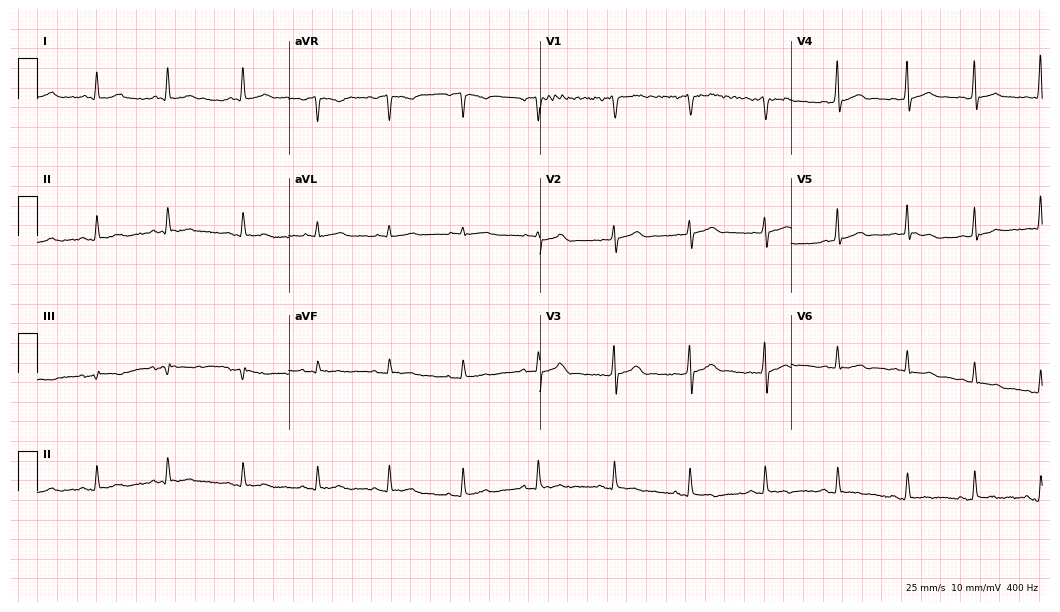
Standard 12-lead ECG recorded from a woman, 41 years old. Read as a normal ECG.